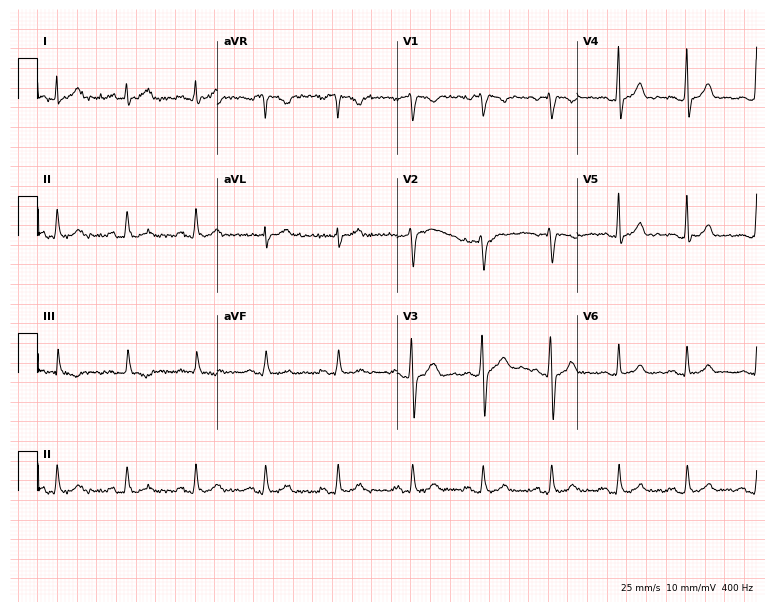
Resting 12-lead electrocardiogram. Patient: a 33-year-old woman. Read as a normal ECG.